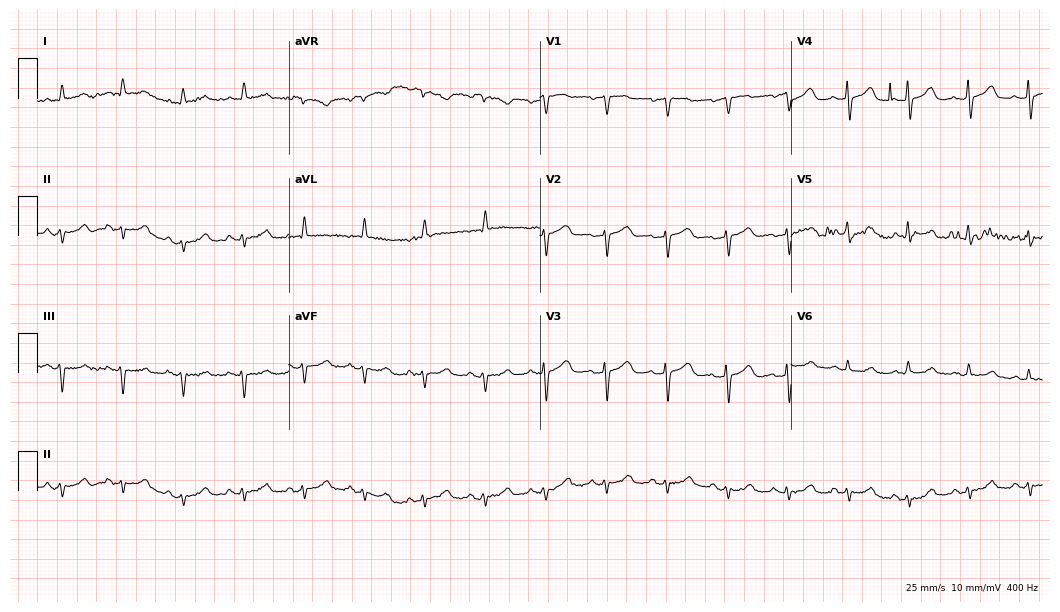
Electrocardiogram, a female patient, 81 years old. Of the six screened findings (first-degree AV block, right bundle branch block (RBBB), left bundle branch block (LBBB), sinus bradycardia, atrial fibrillation (AF), sinus tachycardia), none is recorded.